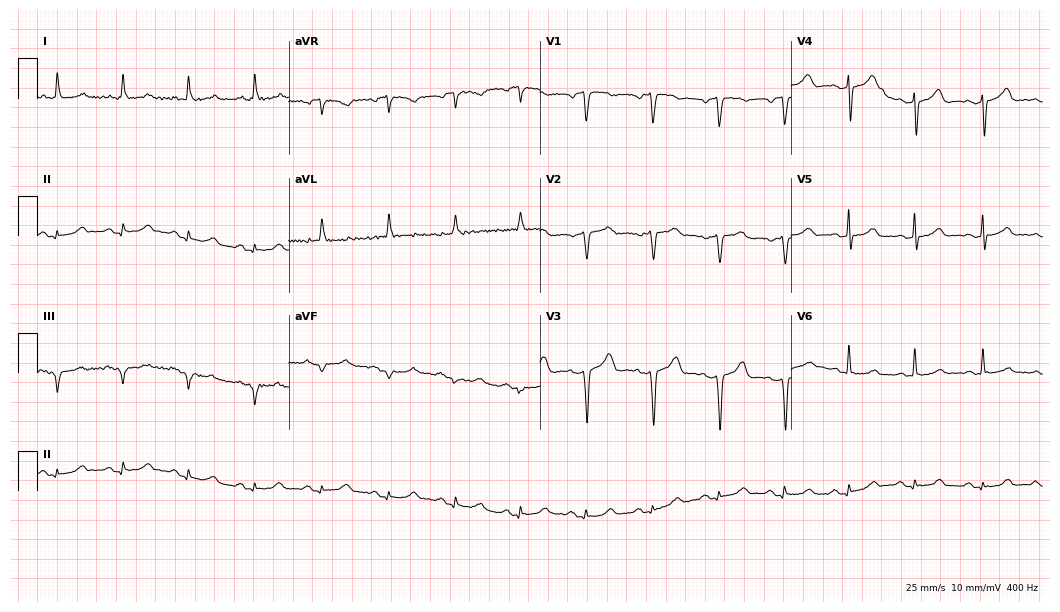
12-lead ECG from a 72-year-old female patient. Screened for six findings — first-degree AV block, right bundle branch block, left bundle branch block, sinus bradycardia, atrial fibrillation, sinus tachycardia — none is recorded. Other findings, if any, are not listed.